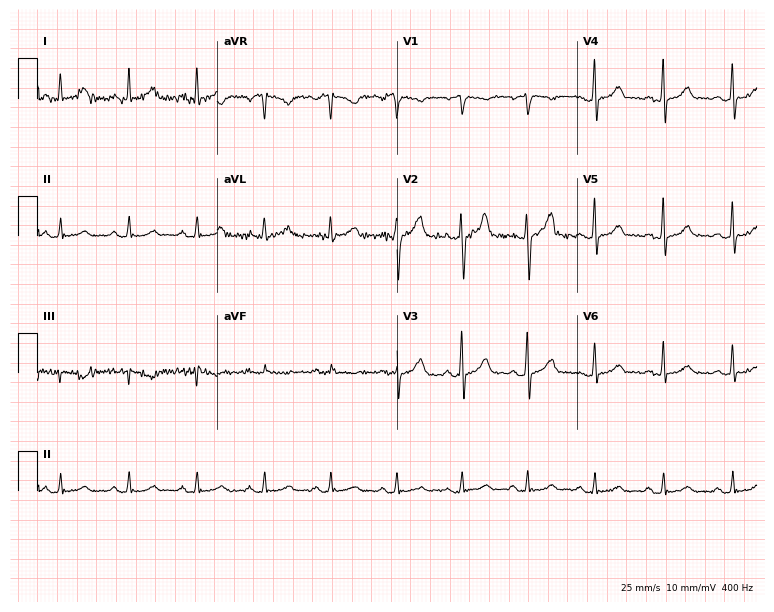
Standard 12-lead ECG recorded from a 42-year-old man (7.3-second recording at 400 Hz). Read as a normal ECG.